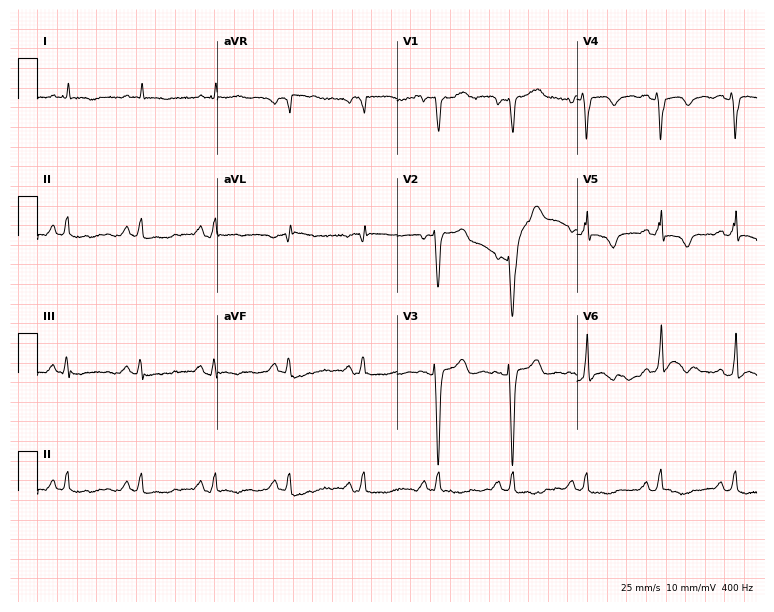
ECG (7.3-second recording at 400 Hz) — a 78-year-old man. Screened for six findings — first-degree AV block, right bundle branch block (RBBB), left bundle branch block (LBBB), sinus bradycardia, atrial fibrillation (AF), sinus tachycardia — none is recorded. Findings outside these six are not listed.